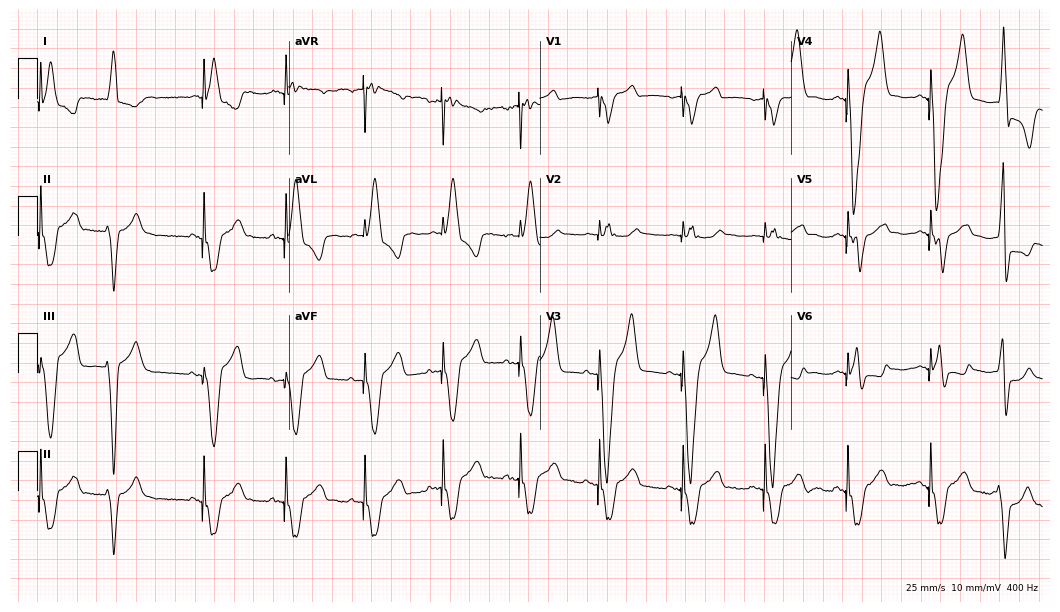
12-lead ECG from a 78-year-old female patient. Screened for six findings — first-degree AV block, right bundle branch block, left bundle branch block, sinus bradycardia, atrial fibrillation, sinus tachycardia — none is recorded. Other findings, if any, are not listed.